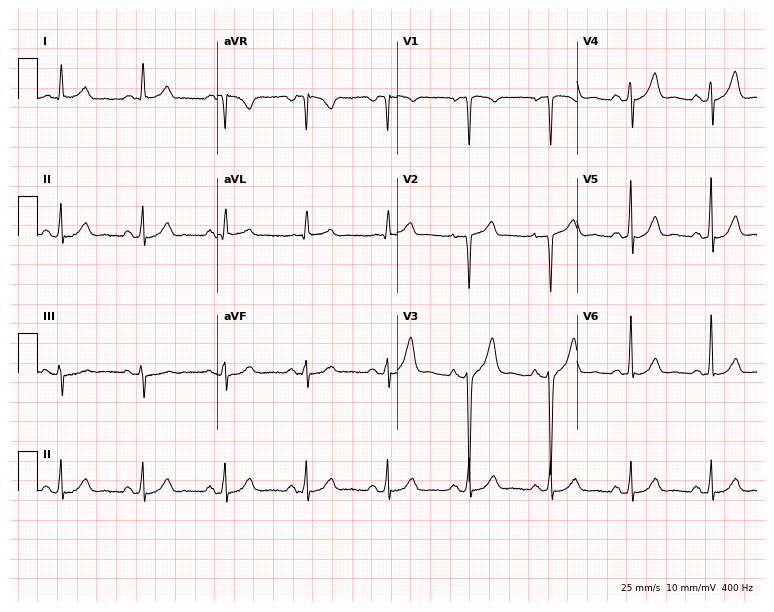
12-lead ECG from a male, 55 years old. Labelled as a normal ECG.